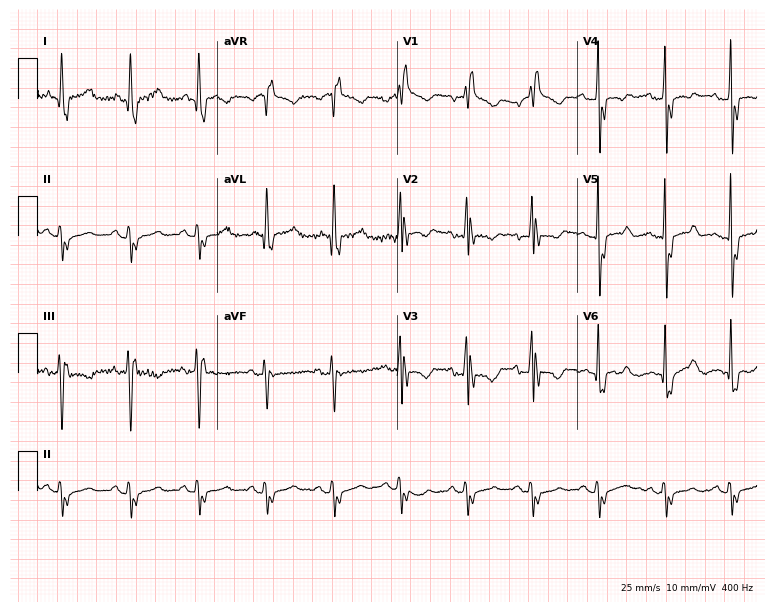
ECG (7.3-second recording at 400 Hz) — a 74-year-old woman. Findings include right bundle branch block (RBBB).